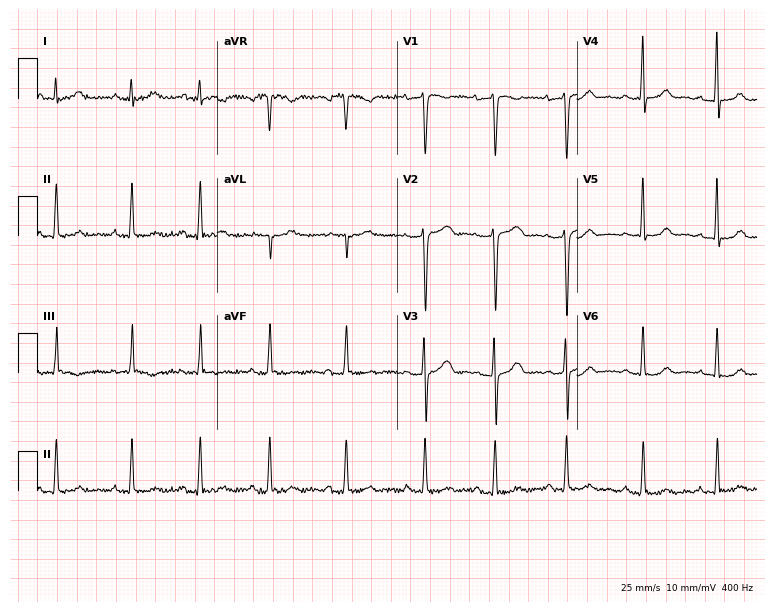
Resting 12-lead electrocardiogram. Patient: an 18-year-old woman. None of these six findings is recorded: first-degree AV block, right bundle branch block (RBBB), left bundle branch block (LBBB), sinus bradycardia, atrial fibrillation (AF), sinus tachycardia. Findings outside these six are not listed.